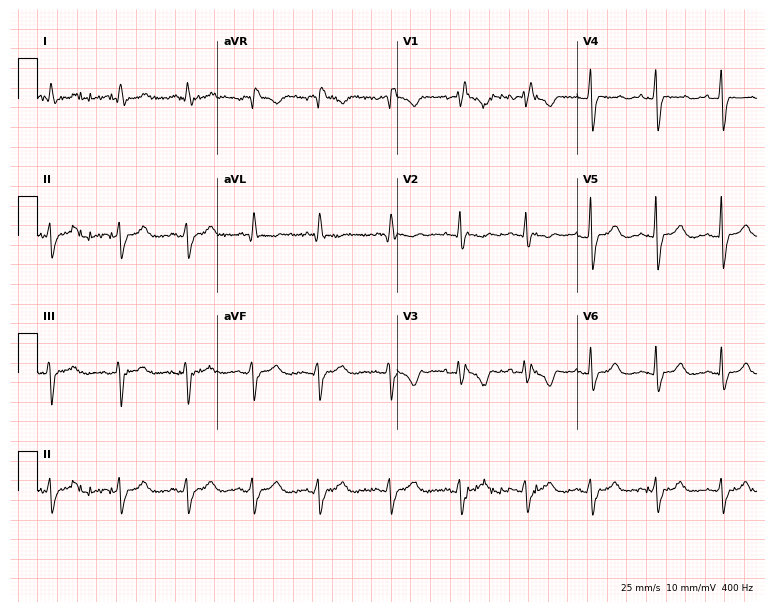
Resting 12-lead electrocardiogram. Patient: a female, 49 years old. None of these six findings is recorded: first-degree AV block, right bundle branch block, left bundle branch block, sinus bradycardia, atrial fibrillation, sinus tachycardia. Other findings, if any, are not listed.